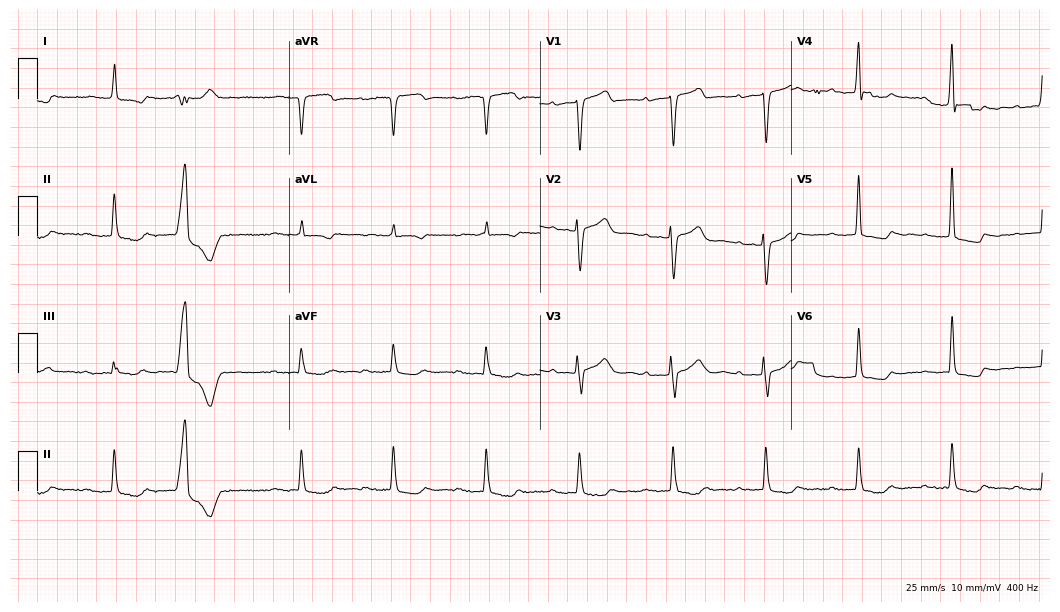
ECG (10.2-second recording at 400 Hz) — a male patient, 84 years old. Screened for six findings — first-degree AV block, right bundle branch block (RBBB), left bundle branch block (LBBB), sinus bradycardia, atrial fibrillation (AF), sinus tachycardia — none is recorded. Only these six findings were labelled.